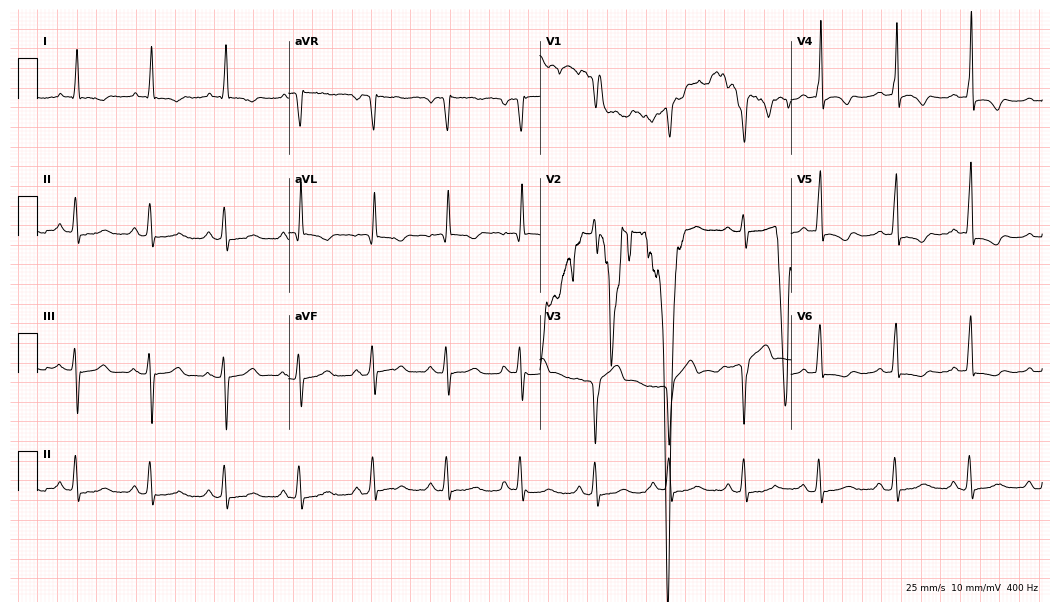
12-lead ECG from a man, 79 years old (10.2-second recording at 400 Hz). No first-degree AV block, right bundle branch block, left bundle branch block, sinus bradycardia, atrial fibrillation or sinus tachycardia recorded for this tracing. Only these six findings were labelled.